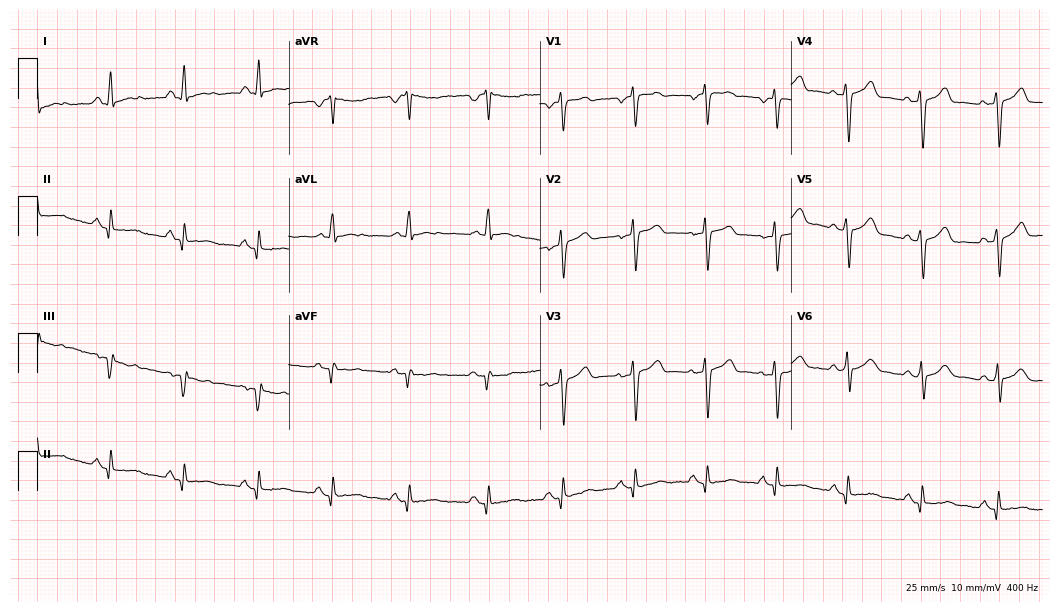
ECG — a 31-year-old male. Screened for six findings — first-degree AV block, right bundle branch block (RBBB), left bundle branch block (LBBB), sinus bradycardia, atrial fibrillation (AF), sinus tachycardia — none is recorded. Findings outside these six are not listed.